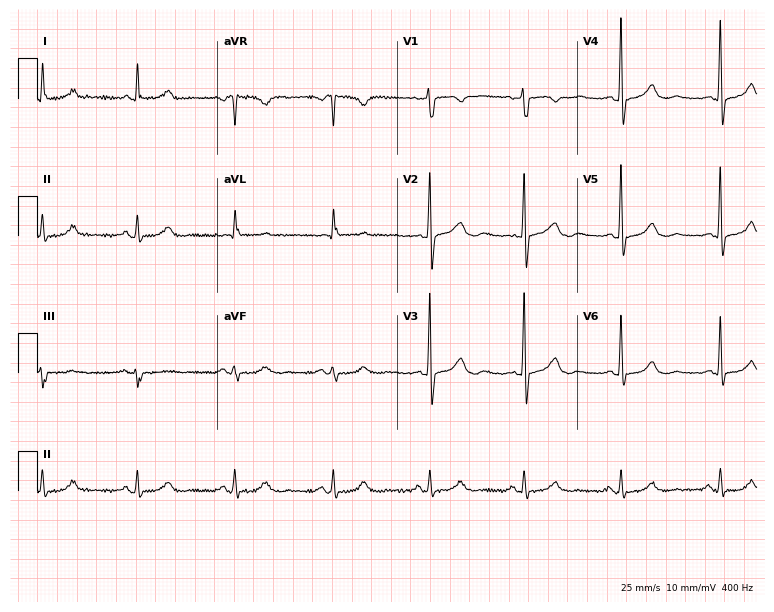
12-lead ECG from a 74-year-old woman. Screened for six findings — first-degree AV block, right bundle branch block, left bundle branch block, sinus bradycardia, atrial fibrillation, sinus tachycardia — none is recorded. Findings outside these six are not listed.